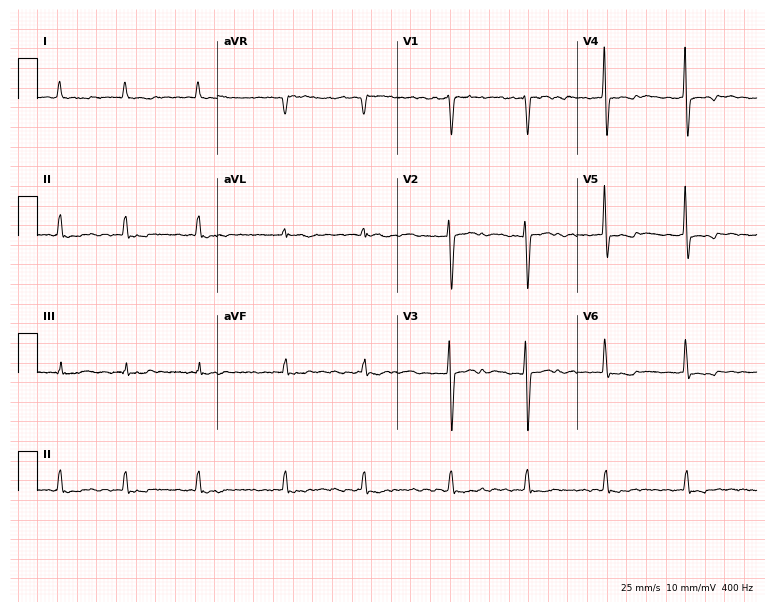
Resting 12-lead electrocardiogram. Patient: a 71-year-old female. The tracing shows atrial fibrillation.